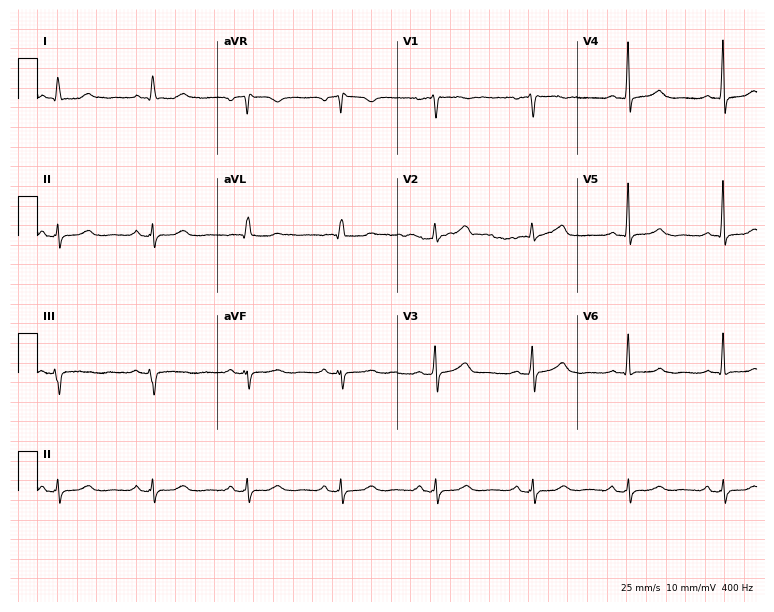
Electrocardiogram (7.3-second recording at 400 Hz), a 55-year-old female patient. Overall reading on record: normal ECG.